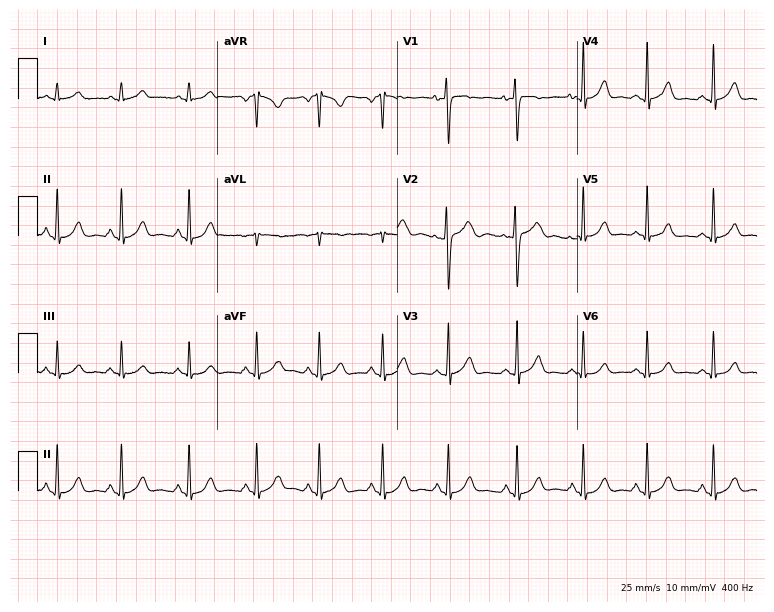
Resting 12-lead electrocardiogram (7.3-second recording at 400 Hz). Patient: a female, 25 years old. None of these six findings is recorded: first-degree AV block, right bundle branch block, left bundle branch block, sinus bradycardia, atrial fibrillation, sinus tachycardia.